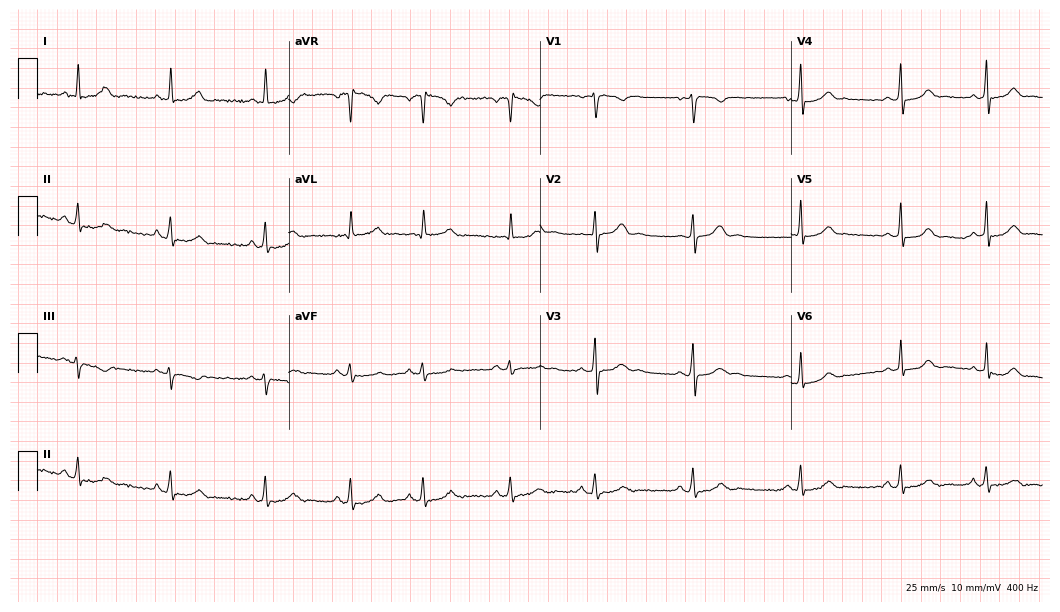
Resting 12-lead electrocardiogram (10.2-second recording at 400 Hz). Patient: a 29-year-old female. None of these six findings is recorded: first-degree AV block, right bundle branch block, left bundle branch block, sinus bradycardia, atrial fibrillation, sinus tachycardia.